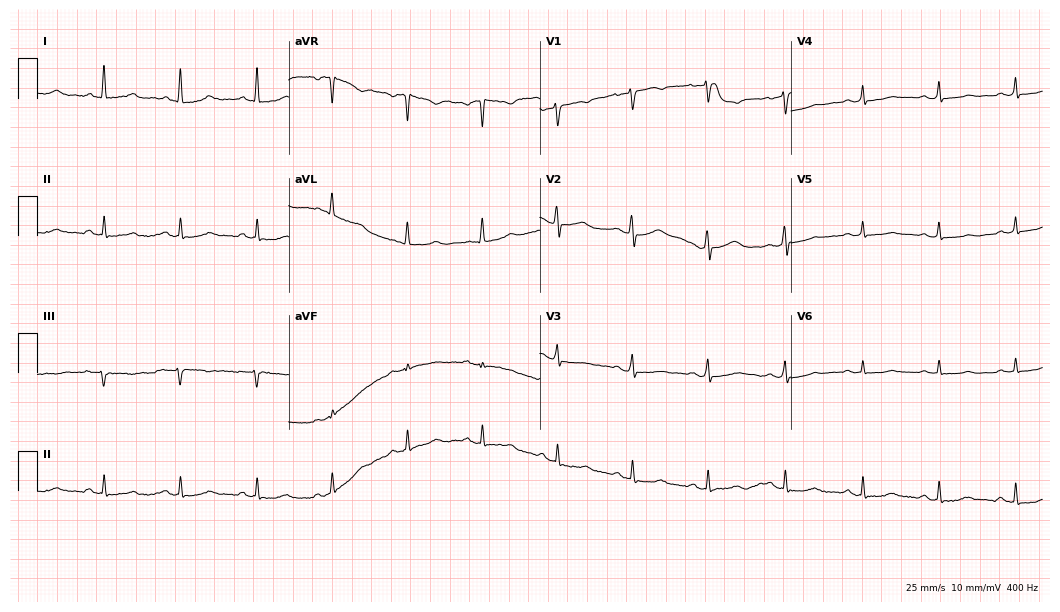
Resting 12-lead electrocardiogram (10.2-second recording at 400 Hz). Patient: a woman, 48 years old. Read as a normal ECG.